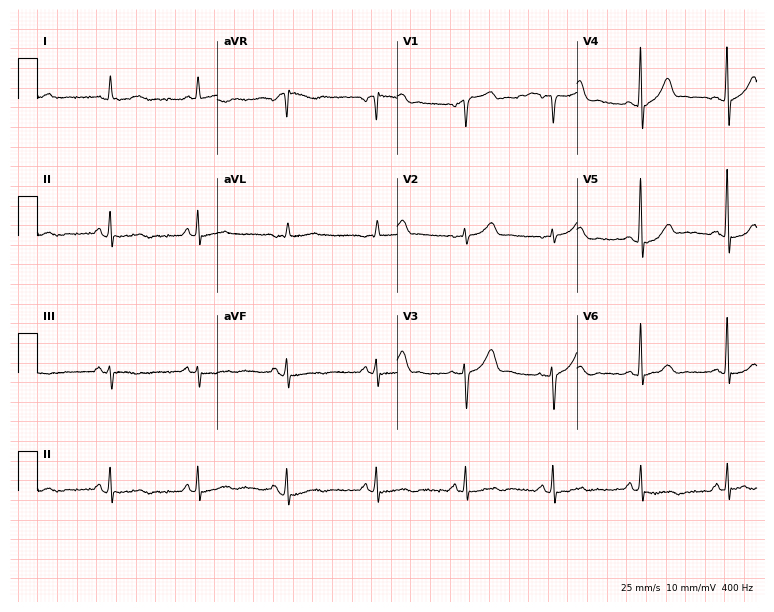
12-lead ECG from a 70-year-old male patient. Recorded interpretation: within normal limits.